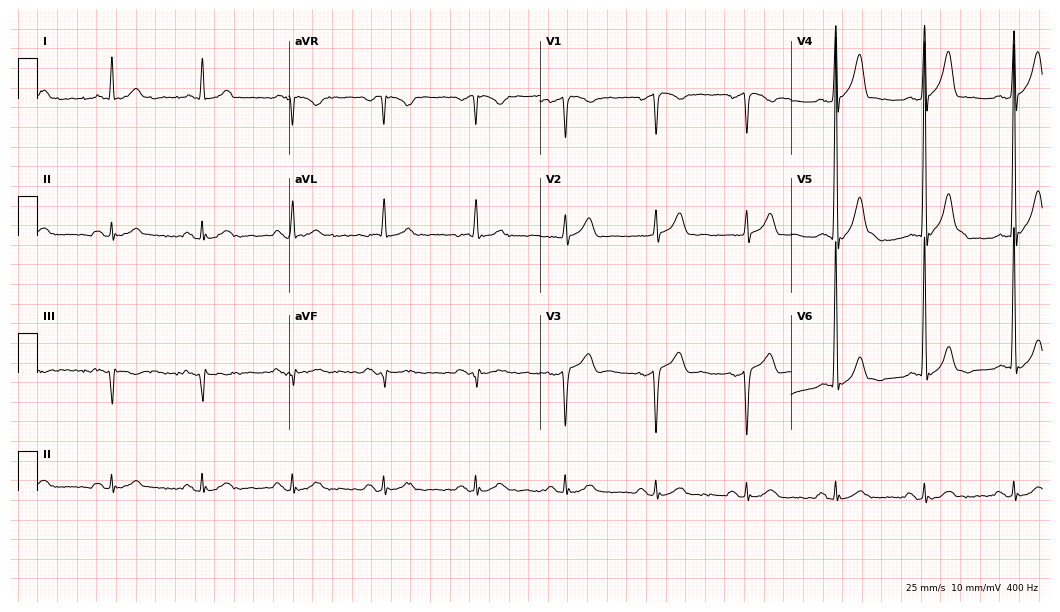
ECG — a 74-year-old man. Screened for six findings — first-degree AV block, right bundle branch block, left bundle branch block, sinus bradycardia, atrial fibrillation, sinus tachycardia — none is recorded. Other findings, if any, are not listed.